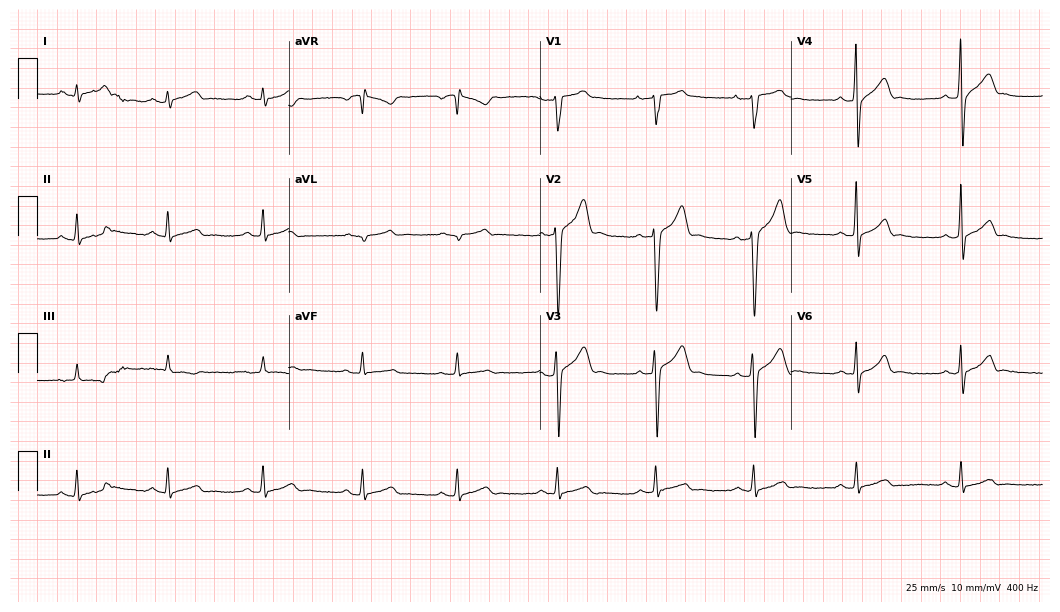
Electrocardiogram (10.2-second recording at 400 Hz), a 21-year-old male patient. Of the six screened findings (first-degree AV block, right bundle branch block, left bundle branch block, sinus bradycardia, atrial fibrillation, sinus tachycardia), none is recorded.